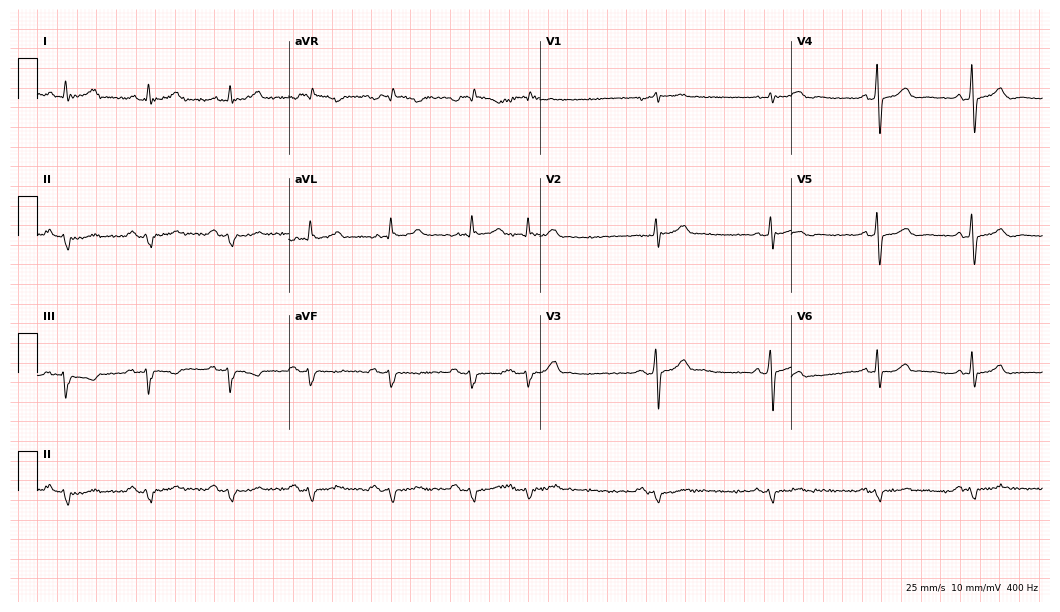
Electrocardiogram (10.2-second recording at 400 Hz), a male patient, 78 years old. Of the six screened findings (first-degree AV block, right bundle branch block, left bundle branch block, sinus bradycardia, atrial fibrillation, sinus tachycardia), none is recorded.